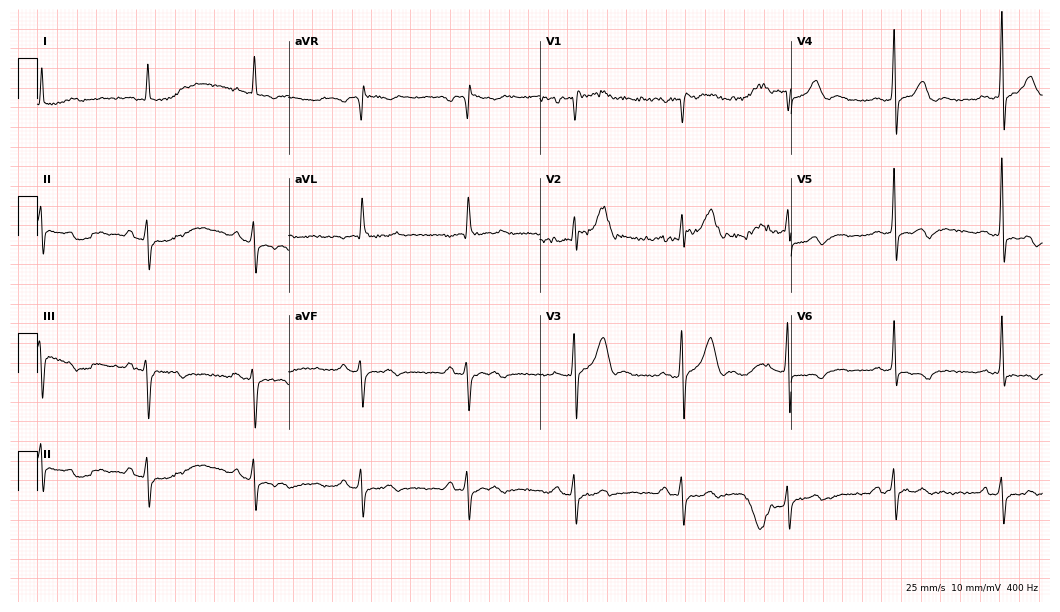
Resting 12-lead electrocardiogram. Patient: a 75-year-old male. None of these six findings is recorded: first-degree AV block, right bundle branch block, left bundle branch block, sinus bradycardia, atrial fibrillation, sinus tachycardia.